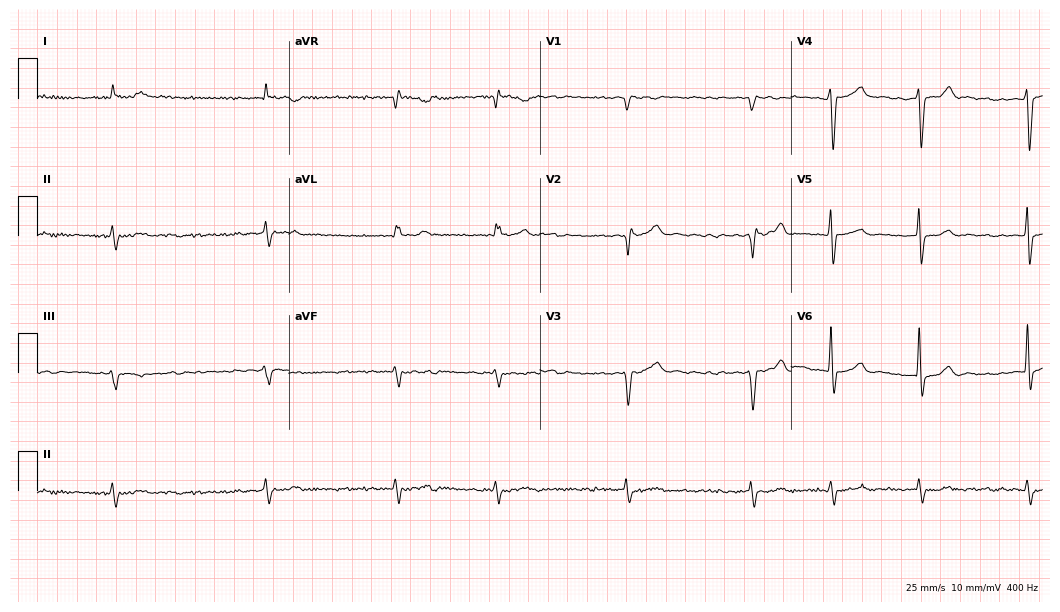
12-lead ECG from a man, 77 years old. Shows atrial fibrillation (AF).